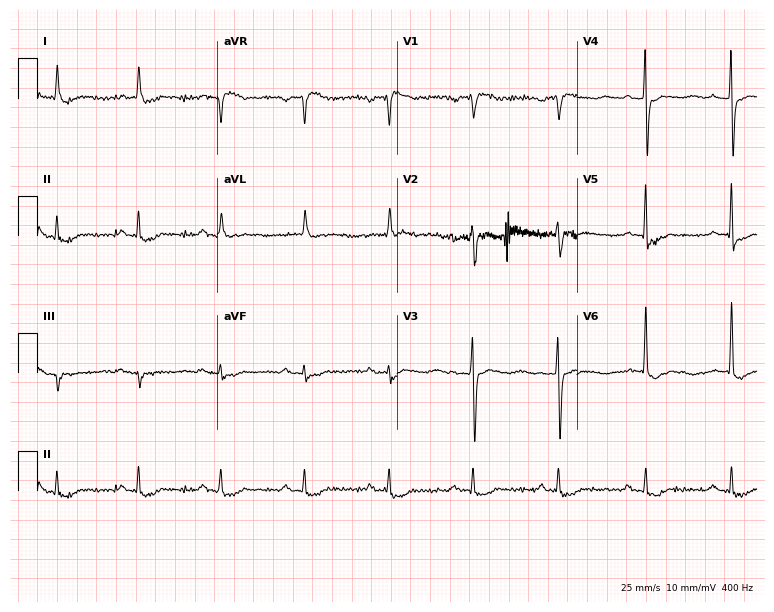
12-lead ECG from a female, 82 years old. Screened for six findings — first-degree AV block, right bundle branch block, left bundle branch block, sinus bradycardia, atrial fibrillation, sinus tachycardia — none is recorded.